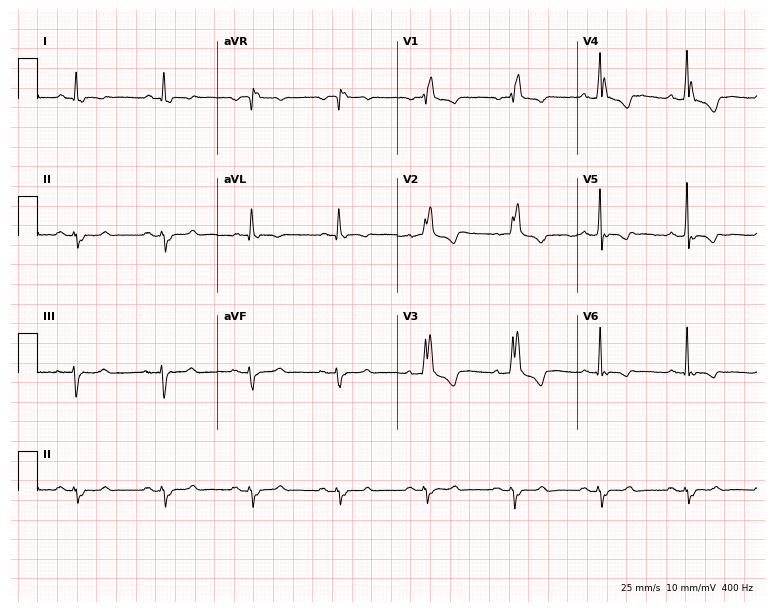
Standard 12-lead ECG recorded from a man, 75 years old. The tracing shows right bundle branch block.